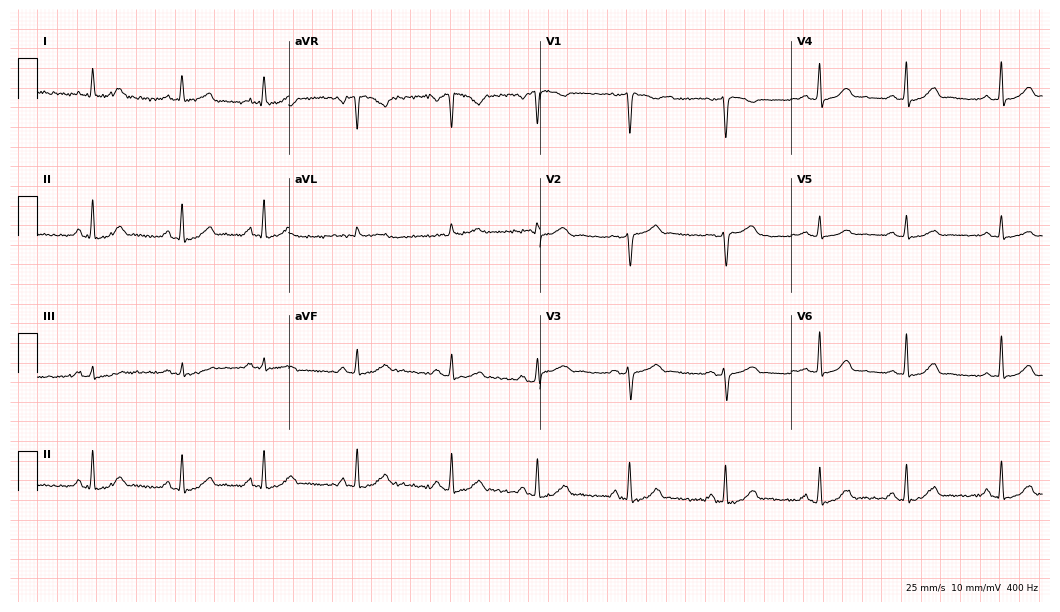
12-lead ECG from a female patient, 44 years old (10.2-second recording at 400 Hz). Recorded interpretation: within normal limits.